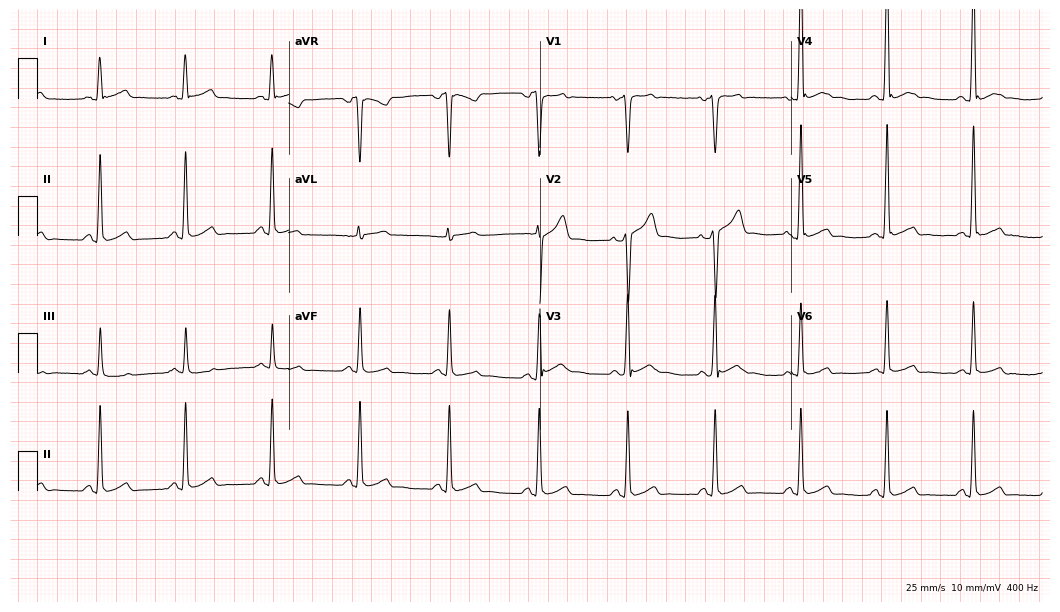
ECG (10.2-second recording at 400 Hz) — a 37-year-old male. Screened for six findings — first-degree AV block, right bundle branch block, left bundle branch block, sinus bradycardia, atrial fibrillation, sinus tachycardia — none is recorded.